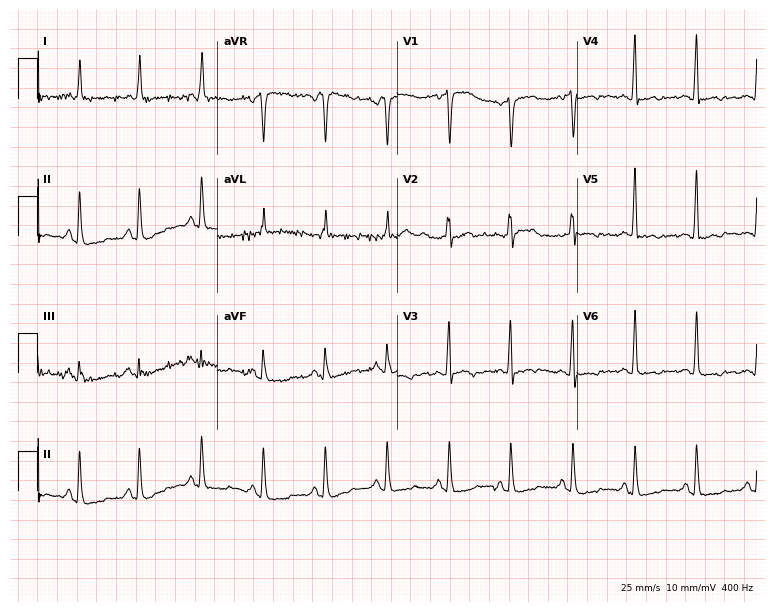
12-lead ECG from a 76-year-old female. No first-degree AV block, right bundle branch block, left bundle branch block, sinus bradycardia, atrial fibrillation or sinus tachycardia recorded for this tracing. Findings outside these six are not listed.